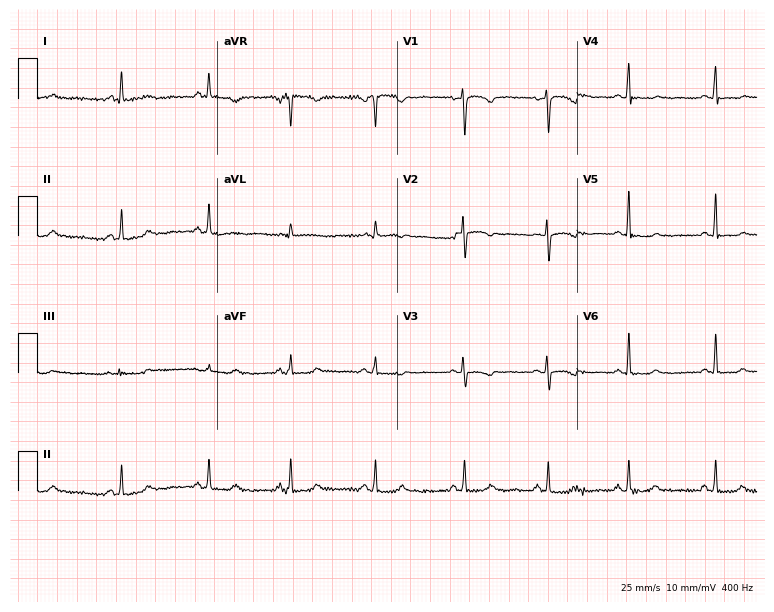
ECG (7.3-second recording at 400 Hz) — a woman, 42 years old. Screened for six findings — first-degree AV block, right bundle branch block (RBBB), left bundle branch block (LBBB), sinus bradycardia, atrial fibrillation (AF), sinus tachycardia — none is recorded.